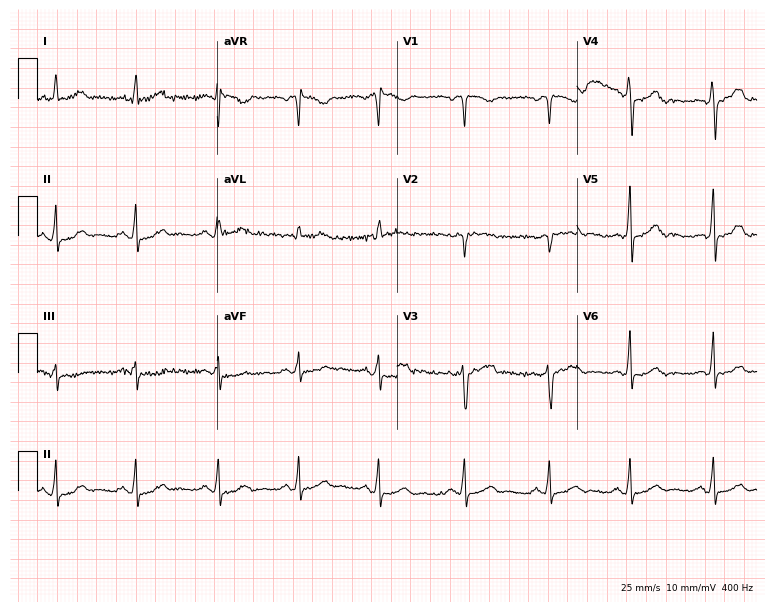
Electrocardiogram, a 42-year-old female patient. Overall reading on record: normal ECG.